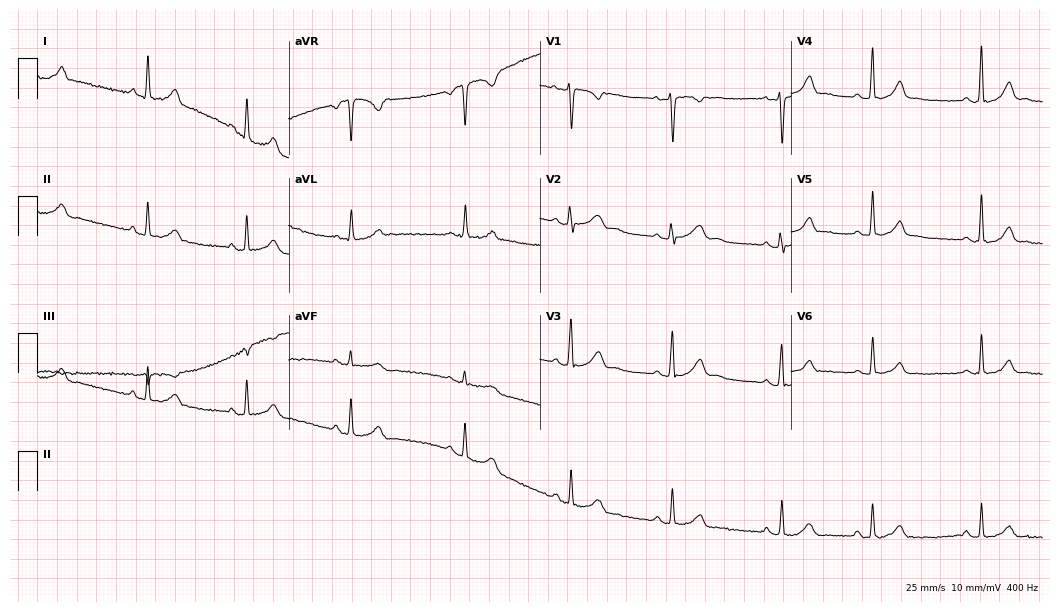
Electrocardiogram (10.2-second recording at 400 Hz), a 22-year-old woman. Of the six screened findings (first-degree AV block, right bundle branch block, left bundle branch block, sinus bradycardia, atrial fibrillation, sinus tachycardia), none is recorded.